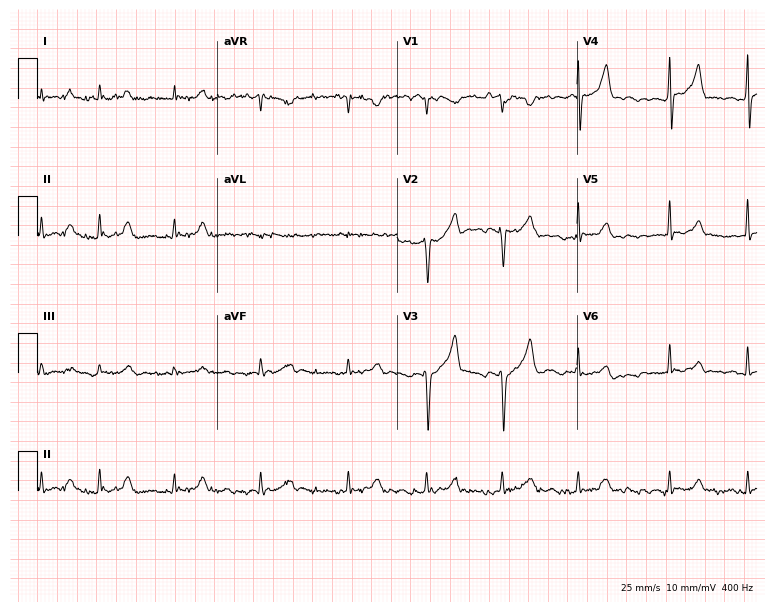
Electrocardiogram, a 76-year-old man. Interpretation includes atrial fibrillation.